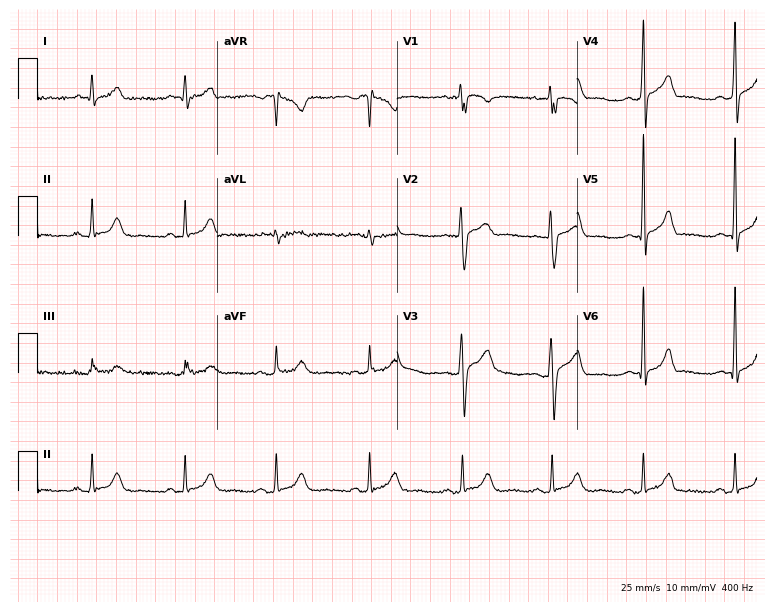
12-lead ECG from a 48-year-old man (7.3-second recording at 400 Hz). Recorded interpretation: within normal limits.